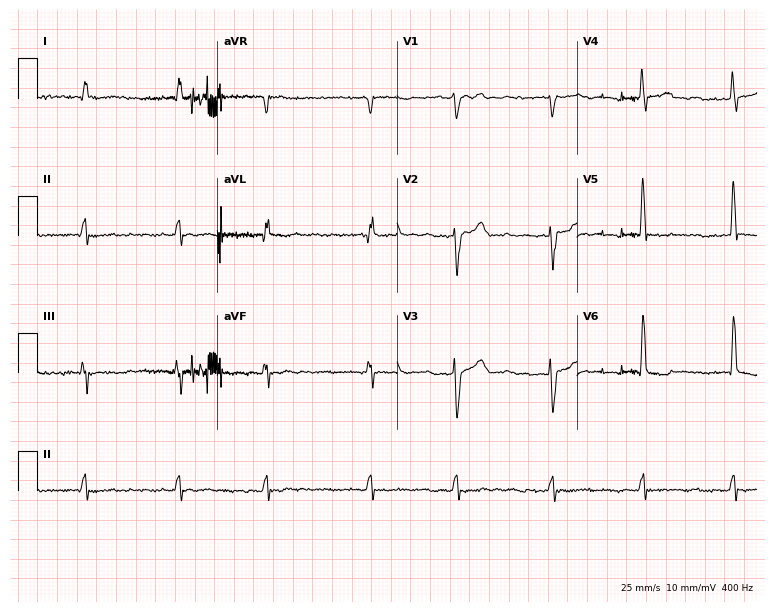
12-lead ECG from a 55-year-old female patient. Shows atrial fibrillation.